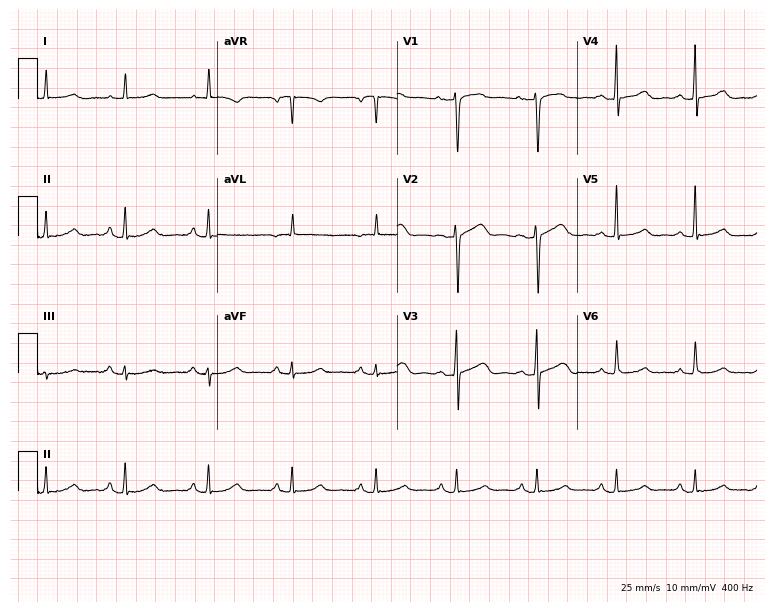
Resting 12-lead electrocardiogram (7.3-second recording at 400 Hz). Patient: a 57-year-old female. None of these six findings is recorded: first-degree AV block, right bundle branch block, left bundle branch block, sinus bradycardia, atrial fibrillation, sinus tachycardia.